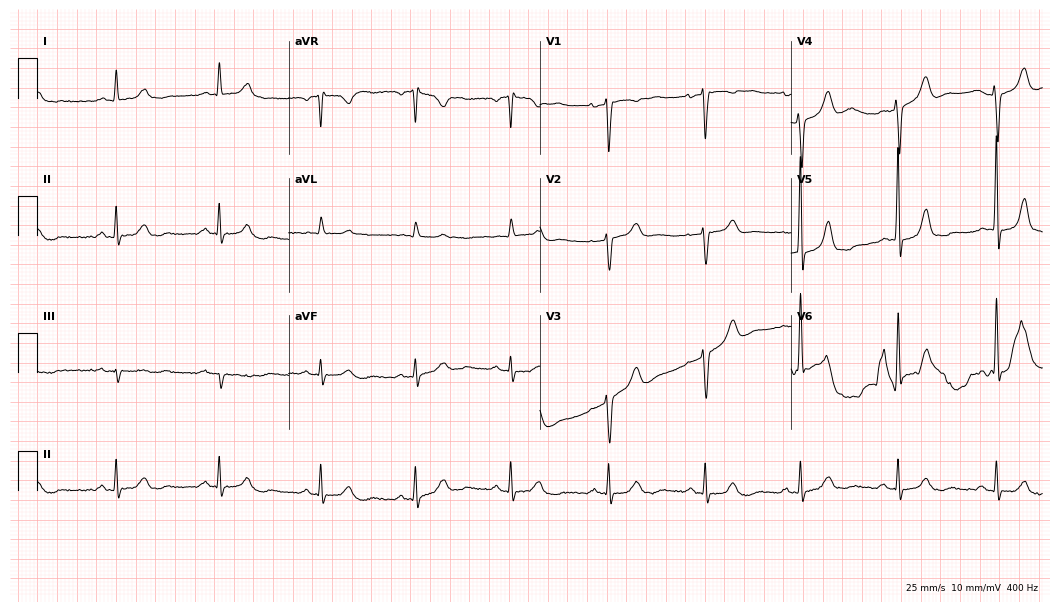
12-lead ECG from a 71-year-old woman. No first-degree AV block, right bundle branch block (RBBB), left bundle branch block (LBBB), sinus bradycardia, atrial fibrillation (AF) or sinus tachycardia recorded for this tracing. Other findings, if any, are not listed.